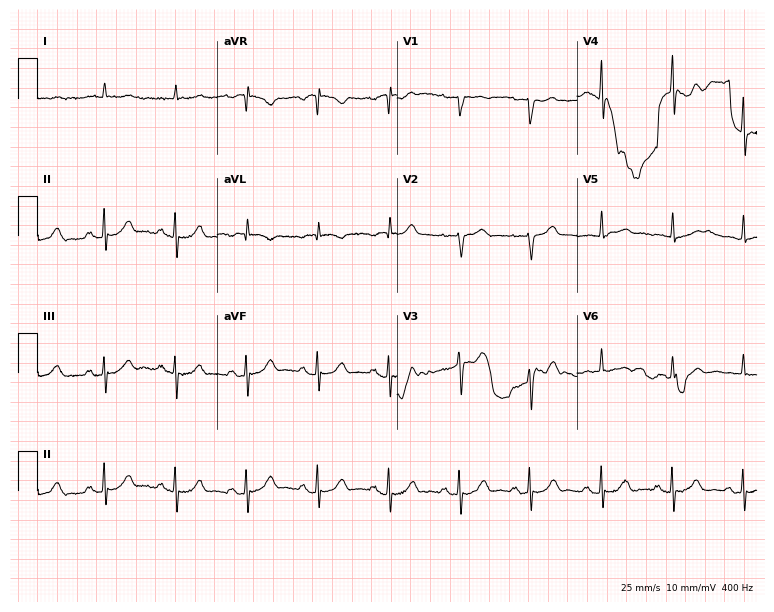
12-lead ECG from a male, 85 years old. No first-degree AV block, right bundle branch block (RBBB), left bundle branch block (LBBB), sinus bradycardia, atrial fibrillation (AF) or sinus tachycardia recorded for this tracing. Only these six findings were labelled.